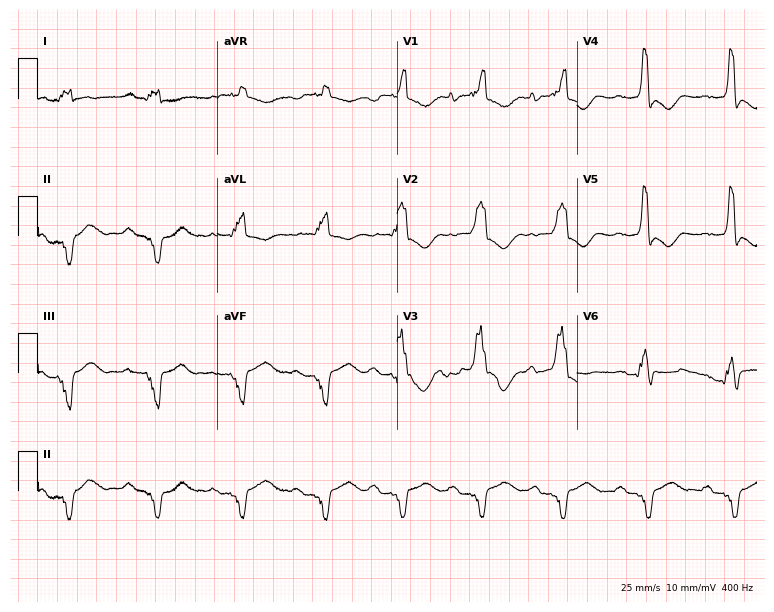
ECG — a 43-year-old man. Findings include first-degree AV block, right bundle branch block (RBBB).